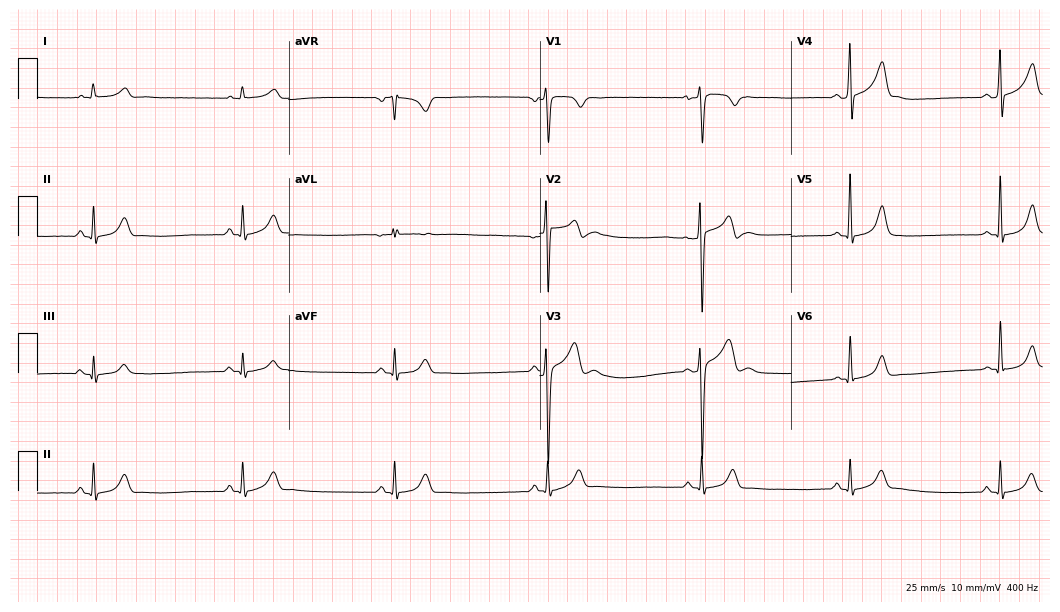
Electrocardiogram (10.2-second recording at 400 Hz), a 26-year-old male patient. Of the six screened findings (first-degree AV block, right bundle branch block (RBBB), left bundle branch block (LBBB), sinus bradycardia, atrial fibrillation (AF), sinus tachycardia), none is recorded.